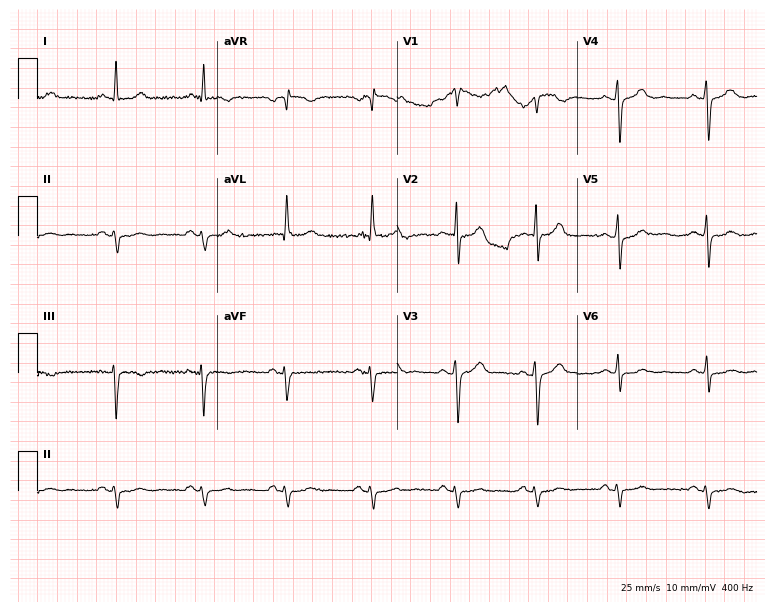
12-lead ECG from a man, 67 years old. Screened for six findings — first-degree AV block, right bundle branch block, left bundle branch block, sinus bradycardia, atrial fibrillation, sinus tachycardia — none is recorded.